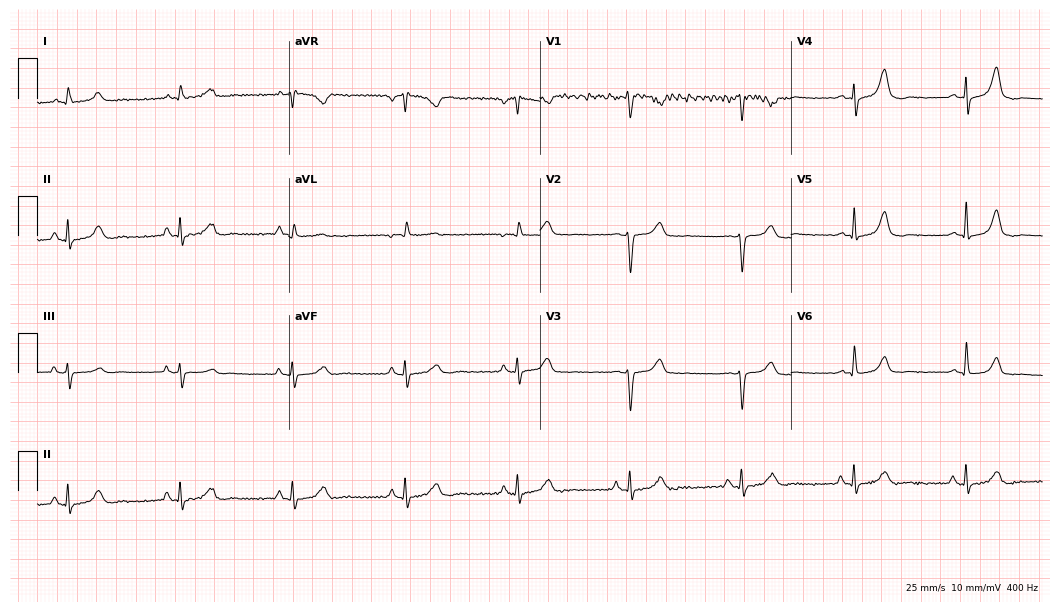
Electrocardiogram, a 44-year-old male patient. Overall reading on record: normal ECG.